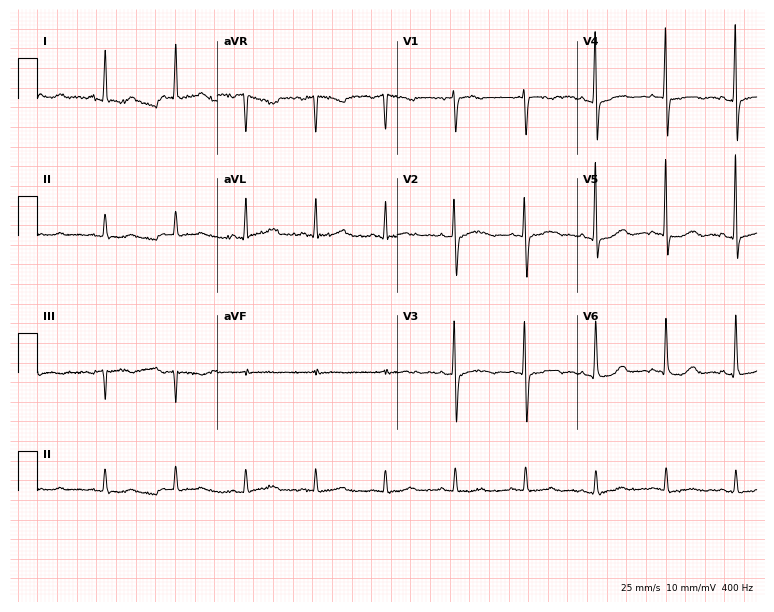
Resting 12-lead electrocardiogram (7.3-second recording at 400 Hz). Patient: a woman, 78 years old. None of these six findings is recorded: first-degree AV block, right bundle branch block, left bundle branch block, sinus bradycardia, atrial fibrillation, sinus tachycardia.